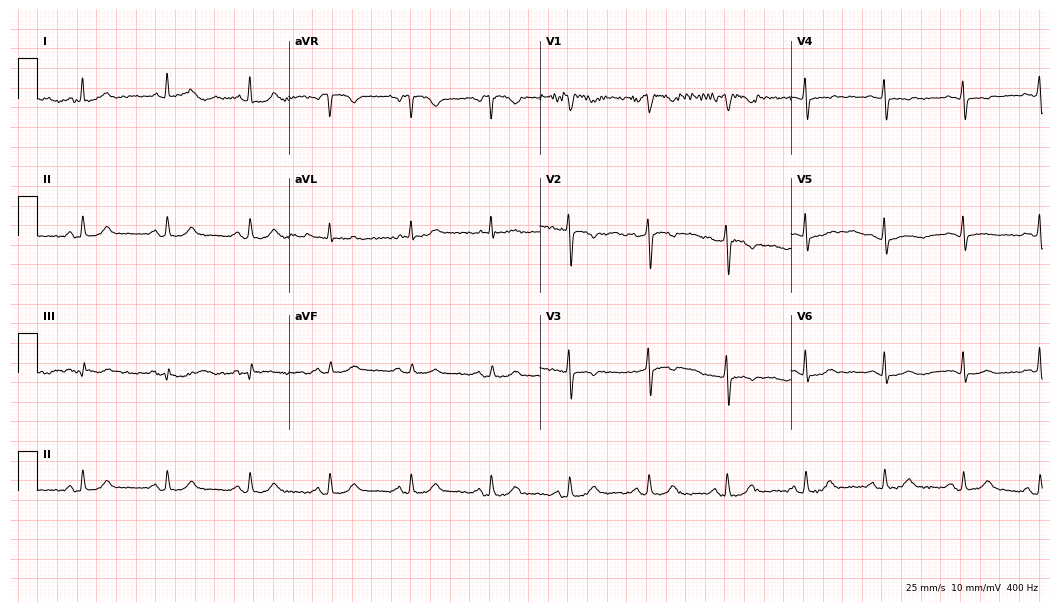
Resting 12-lead electrocardiogram. Patient: a female, 72 years old. None of these six findings is recorded: first-degree AV block, right bundle branch block, left bundle branch block, sinus bradycardia, atrial fibrillation, sinus tachycardia.